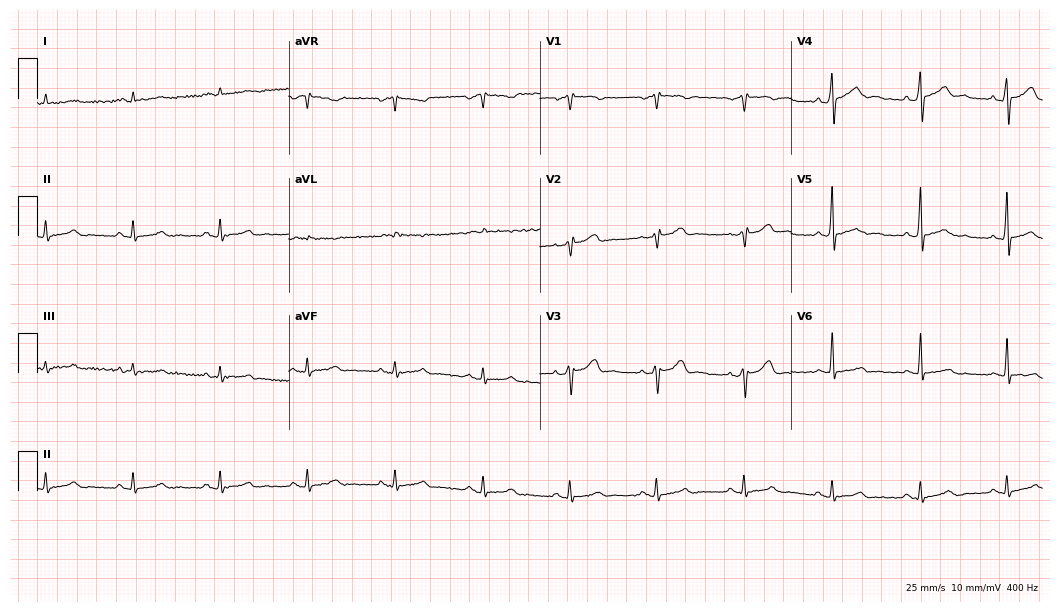
Standard 12-lead ECG recorded from a man, 59 years old (10.2-second recording at 400 Hz). Read as a normal ECG.